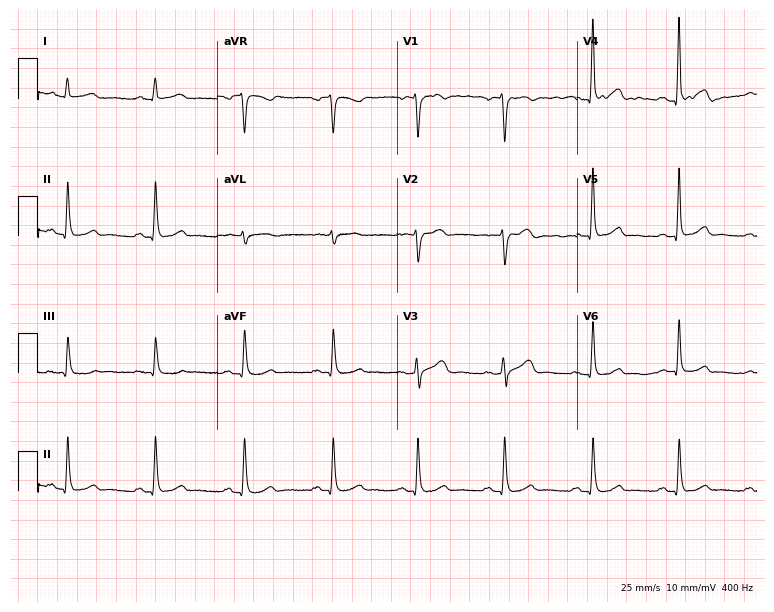
Resting 12-lead electrocardiogram. Patient: a female, 52 years old. Read as a normal ECG.